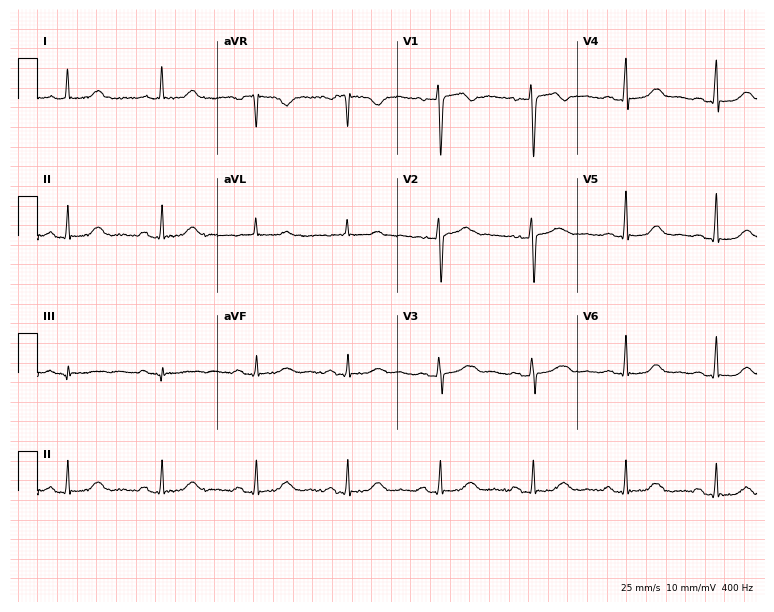
Standard 12-lead ECG recorded from a 72-year-old female. Read as a normal ECG.